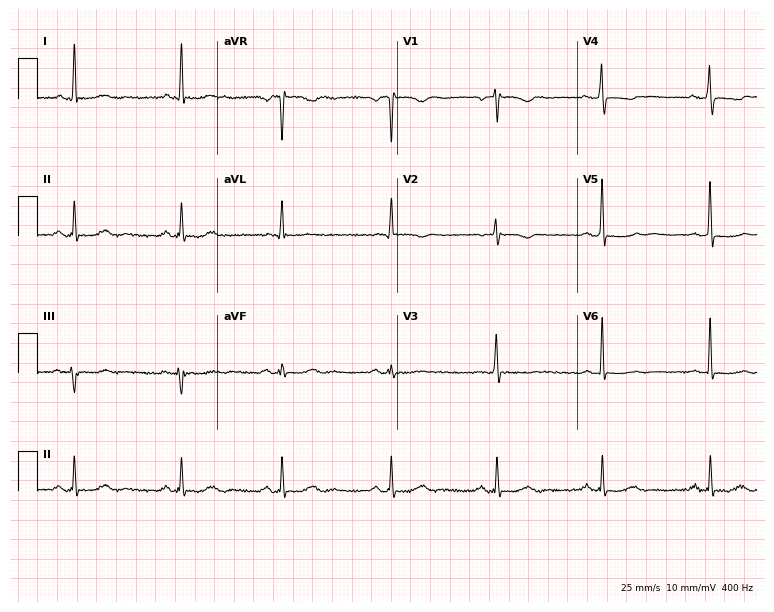
ECG — an 89-year-old female patient. Screened for six findings — first-degree AV block, right bundle branch block (RBBB), left bundle branch block (LBBB), sinus bradycardia, atrial fibrillation (AF), sinus tachycardia — none is recorded.